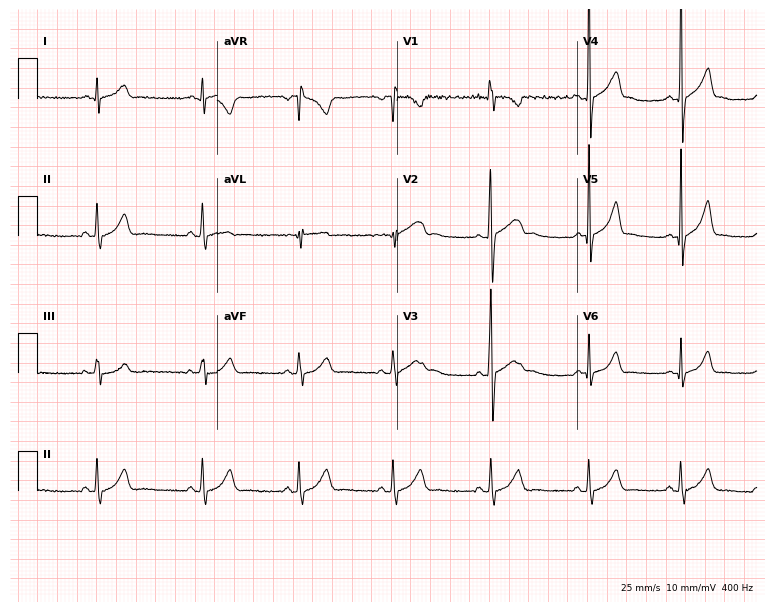
Resting 12-lead electrocardiogram (7.3-second recording at 400 Hz). Patient: a female, 18 years old. Read as a normal ECG.